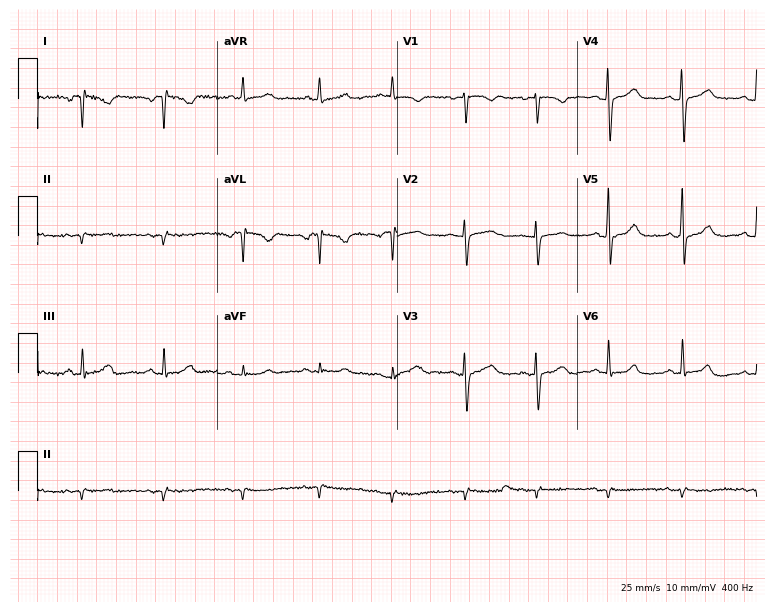
Standard 12-lead ECG recorded from a 56-year-old female patient (7.3-second recording at 400 Hz). Read as a normal ECG.